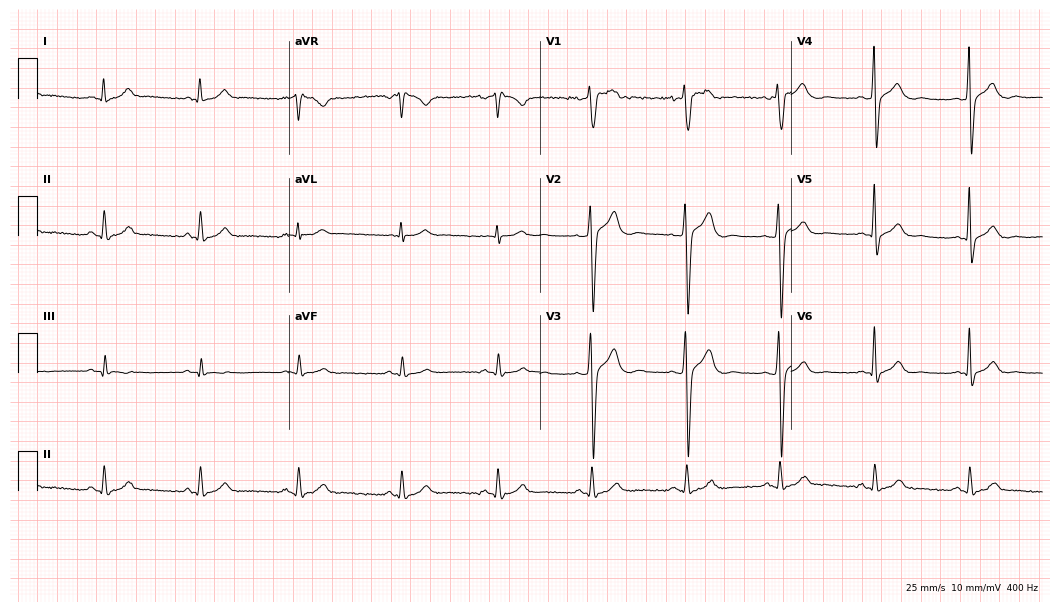
ECG (10.2-second recording at 400 Hz) — a male, 43 years old. Screened for six findings — first-degree AV block, right bundle branch block, left bundle branch block, sinus bradycardia, atrial fibrillation, sinus tachycardia — none is recorded. Only these six findings were labelled.